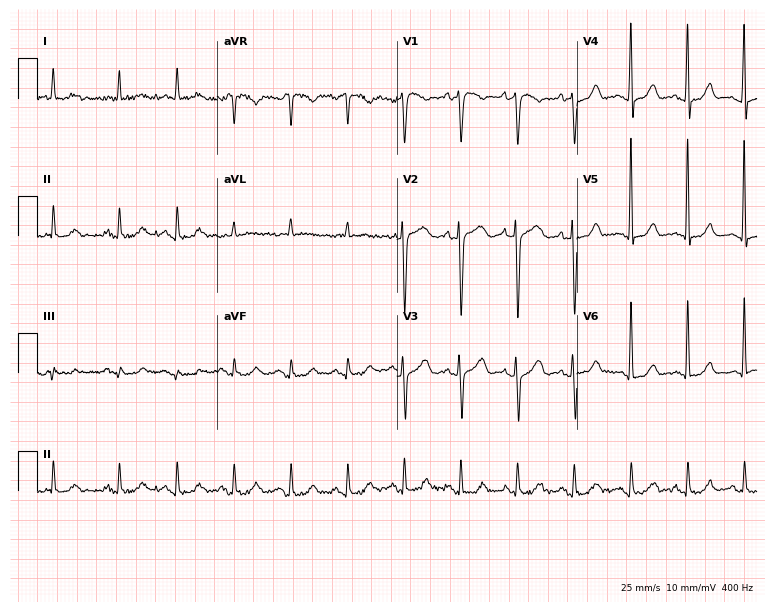
Resting 12-lead electrocardiogram (7.3-second recording at 400 Hz). Patient: a 74-year-old man. The tracing shows sinus tachycardia (a sinus rate of 100 beats per minute or more).